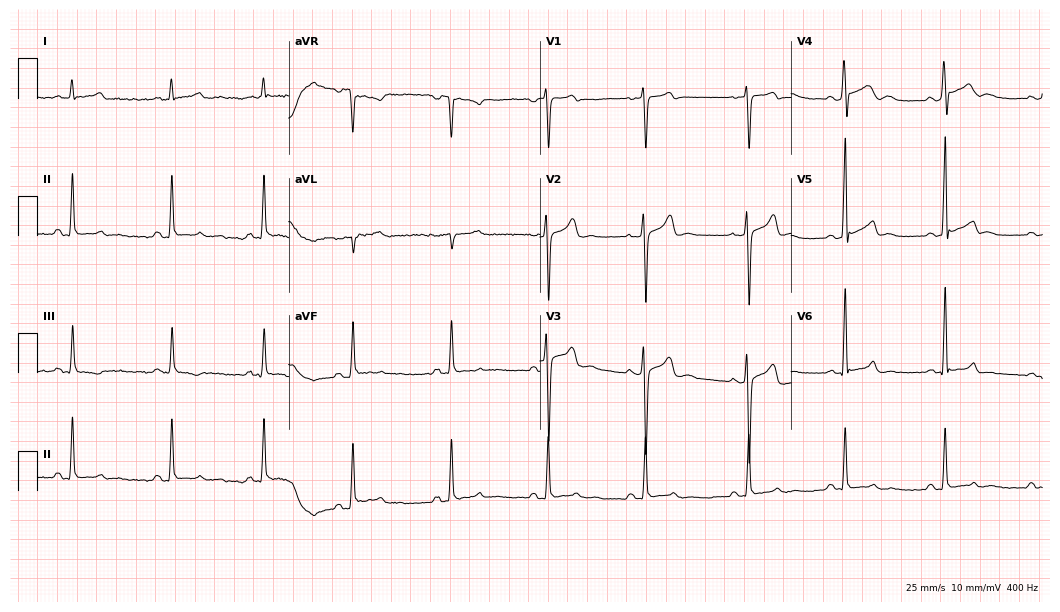
Resting 12-lead electrocardiogram (10.2-second recording at 400 Hz). Patient: a male, 35 years old. None of these six findings is recorded: first-degree AV block, right bundle branch block (RBBB), left bundle branch block (LBBB), sinus bradycardia, atrial fibrillation (AF), sinus tachycardia. Other findings, if any, are not listed.